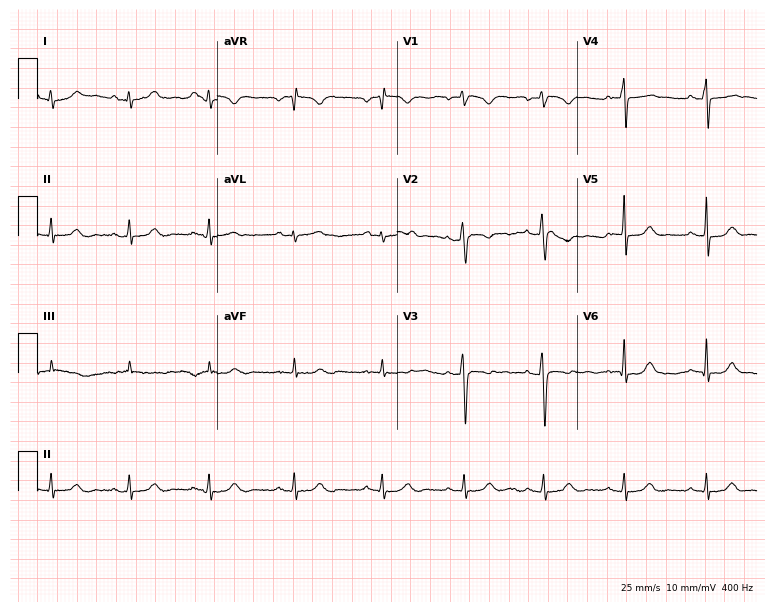
12-lead ECG from a 24-year-old female patient (7.3-second recording at 400 Hz). No first-degree AV block, right bundle branch block, left bundle branch block, sinus bradycardia, atrial fibrillation or sinus tachycardia recorded for this tracing. Findings outside these six are not listed.